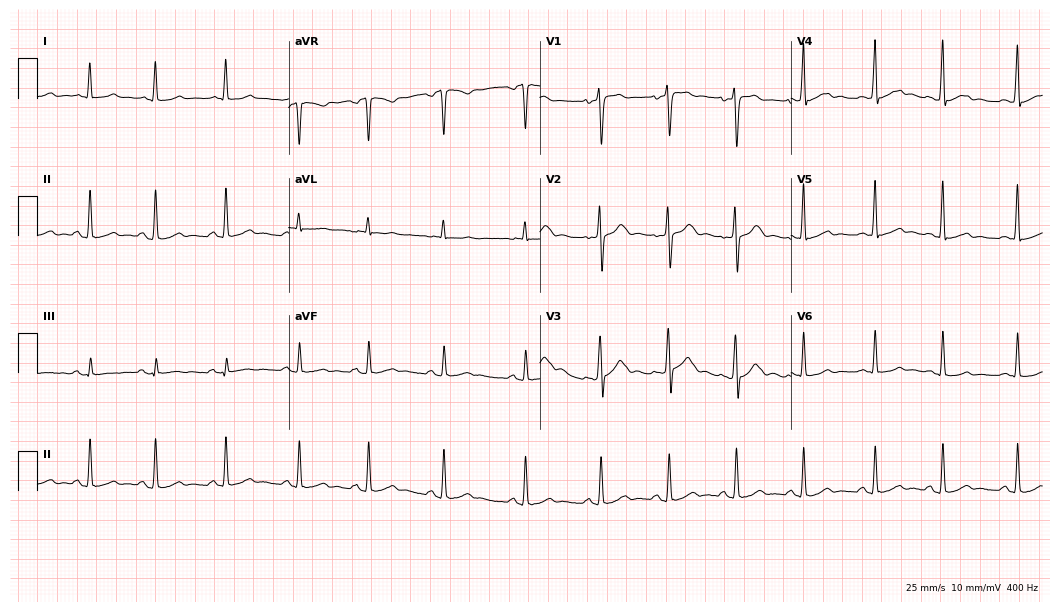
ECG (10.2-second recording at 400 Hz) — a 19-year-old male patient. Labelled as a normal ECG.